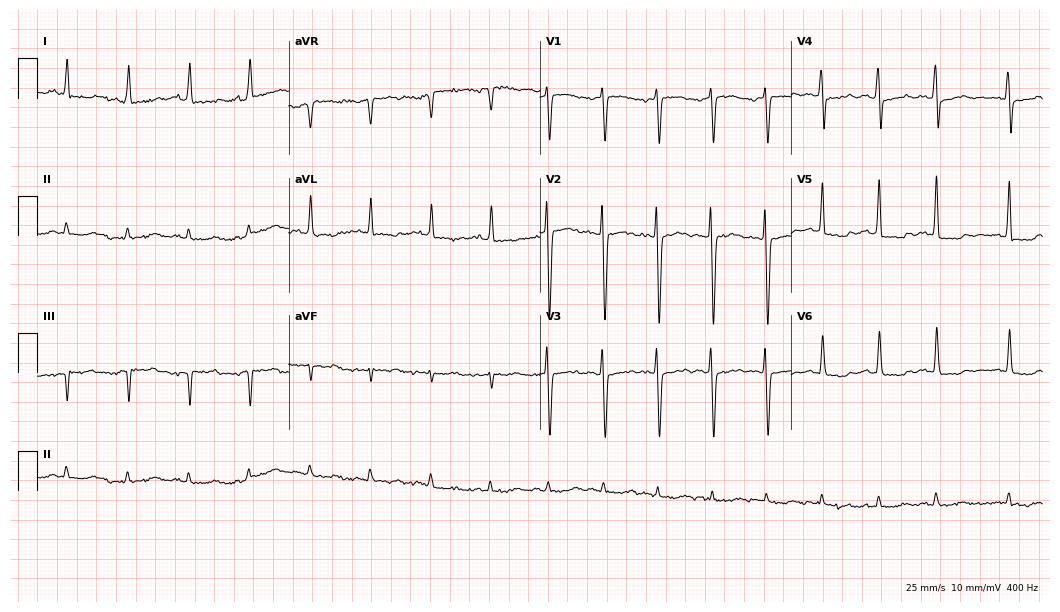
12-lead ECG from a 76-year-old woman (10.2-second recording at 400 Hz). No first-degree AV block, right bundle branch block, left bundle branch block, sinus bradycardia, atrial fibrillation or sinus tachycardia recorded for this tracing.